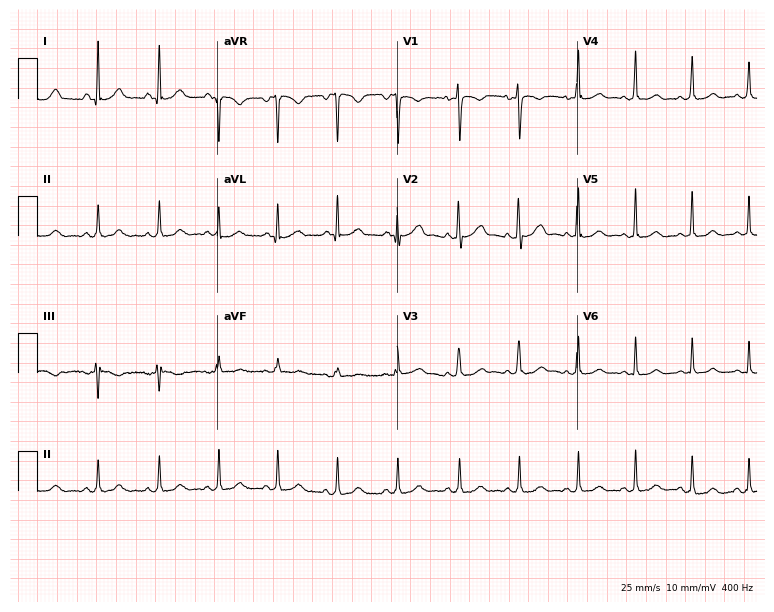
ECG (7.3-second recording at 400 Hz) — a 24-year-old female patient. Labelled as a normal ECG.